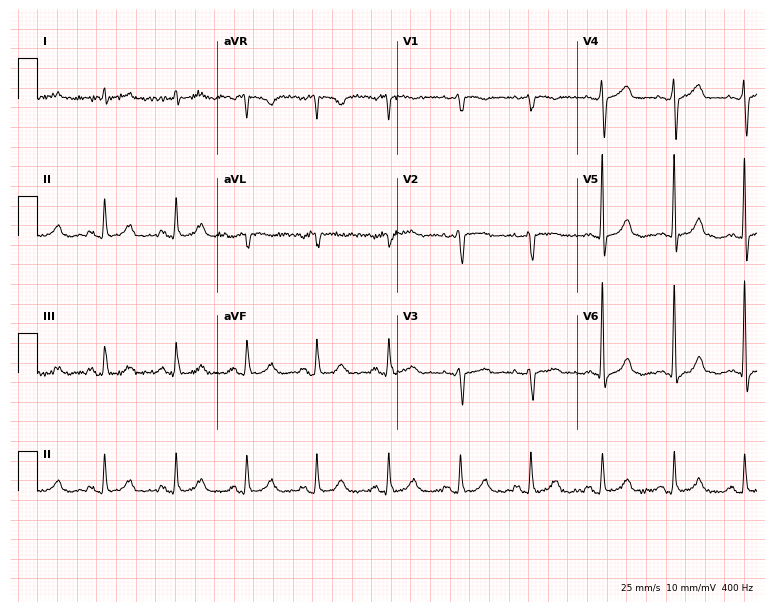
12-lead ECG from a 66-year-old female (7.3-second recording at 400 Hz). Recorded interpretation: within normal limits.